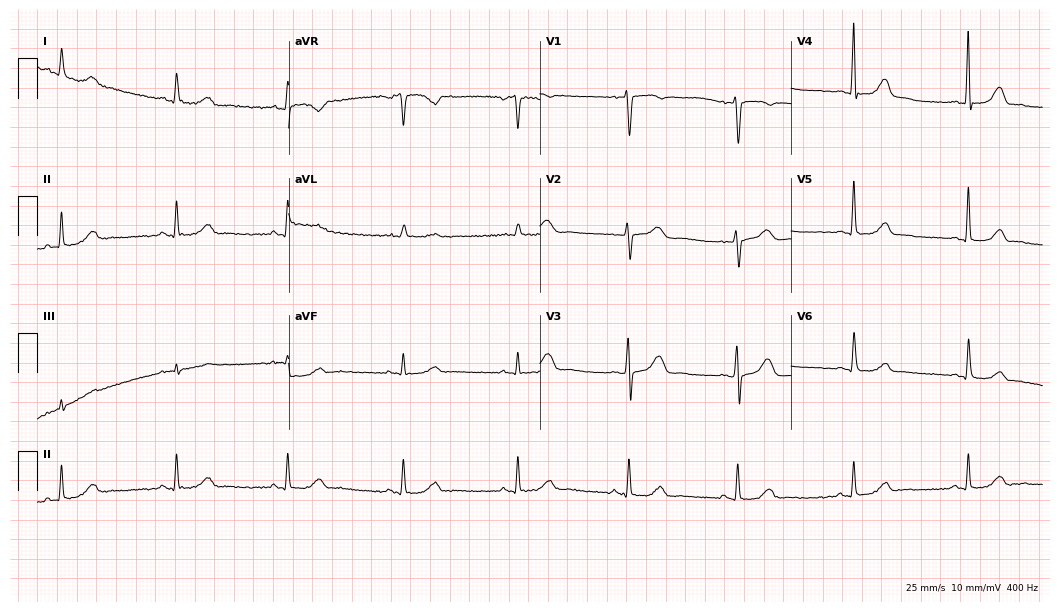
ECG — a female, 64 years old. Screened for six findings — first-degree AV block, right bundle branch block, left bundle branch block, sinus bradycardia, atrial fibrillation, sinus tachycardia — none is recorded. Findings outside these six are not listed.